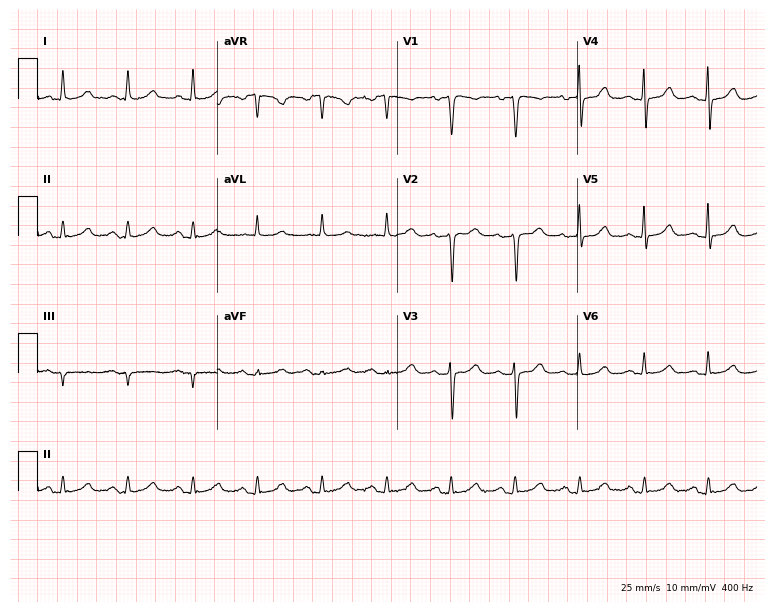
Resting 12-lead electrocardiogram (7.3-second recording at 400 Hz). Patient: a woman, 58 years old. Read as a normal ECG.